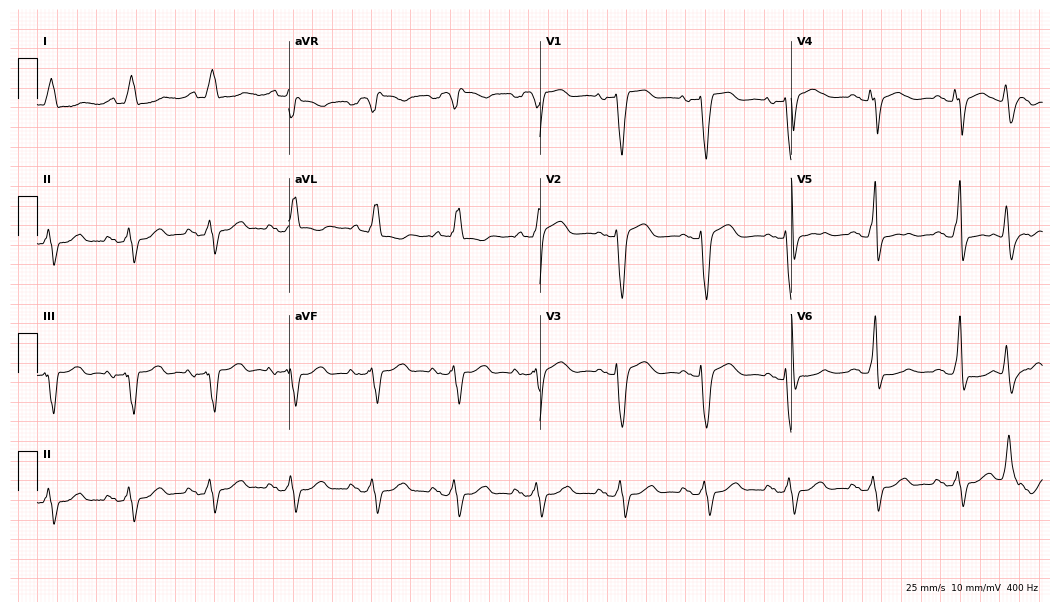
Standard 12-lead ECG recorded from a 75-year-old woman. The tracing shows left bundle branch block (LBBB).